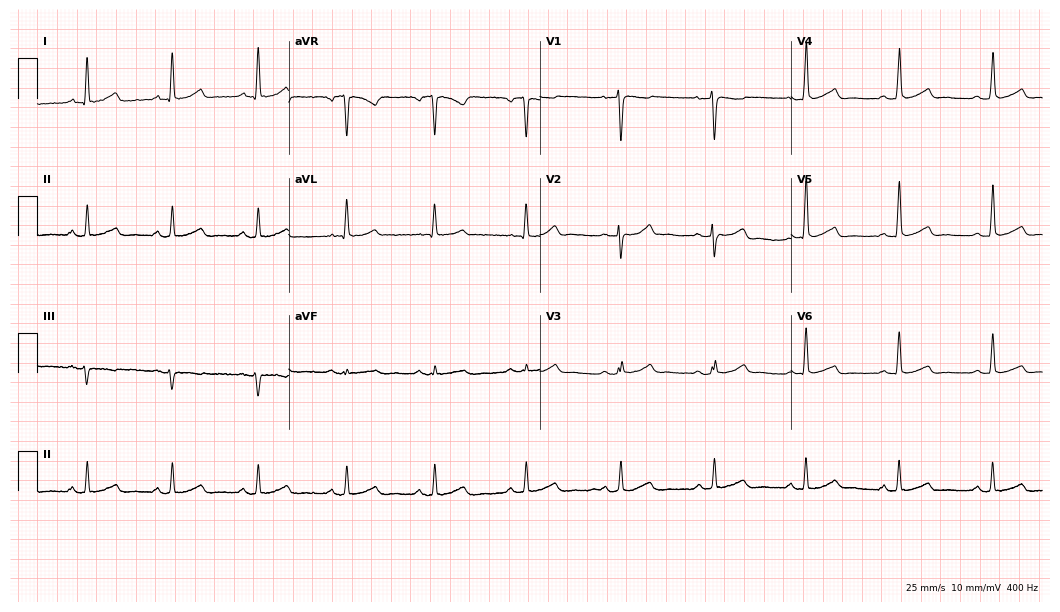
Electrocardiogram (10.2-second recording at 400 Hz), a female patient, 52 years old. Overall reading on record: normal ECG.